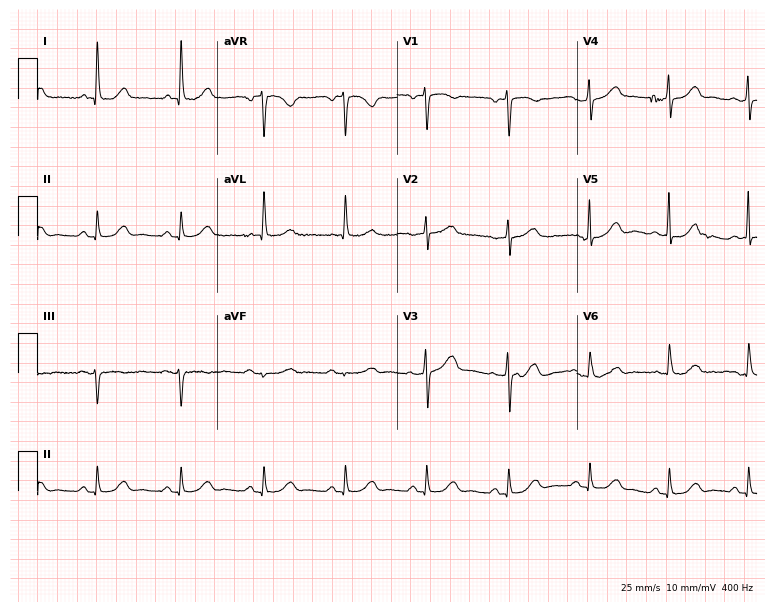
Resting 12-lead electrocardiogram (7.3-second recording at 400 Hz). Patient: a female, 63 years old. Read as a normal ECG.